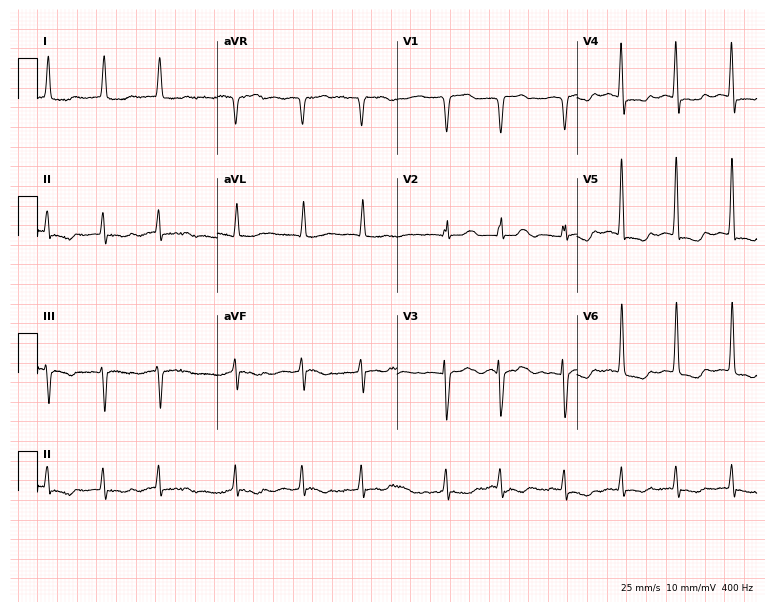
12-lead ECG from a female patient, 88 years old. Shows atrial fibrillation (AF).